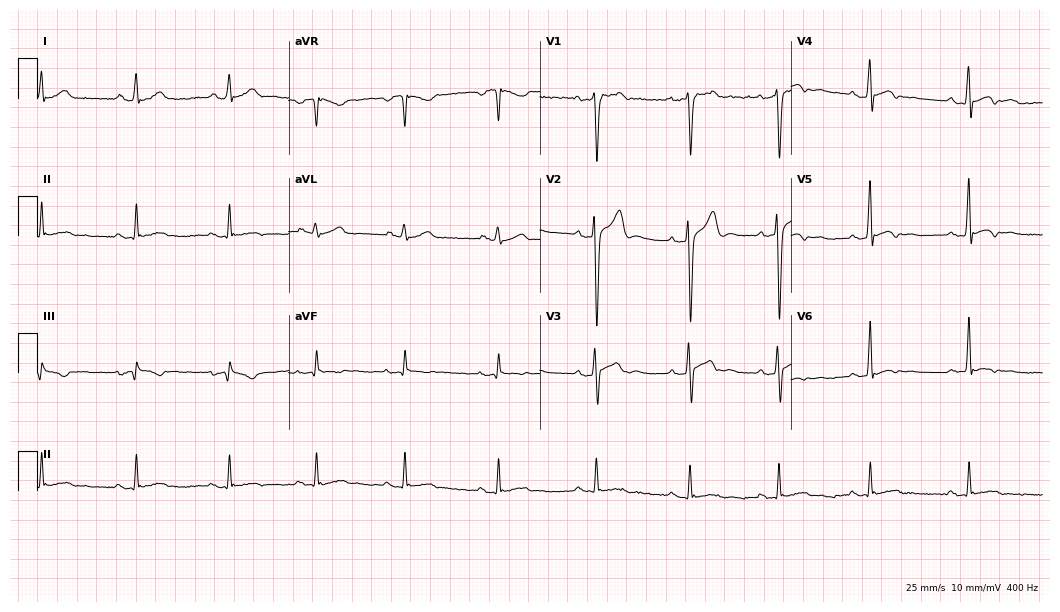
12-lead ECG from a male, 21 years old (10.2-second recording at 400 Hz). No first-degree AV block, right bundle branch block, left bundle branch block, sinus bradycardia, atrial fibrillation or sinus tachycardia recorded for this tracing. Findings outside these six are not listed.